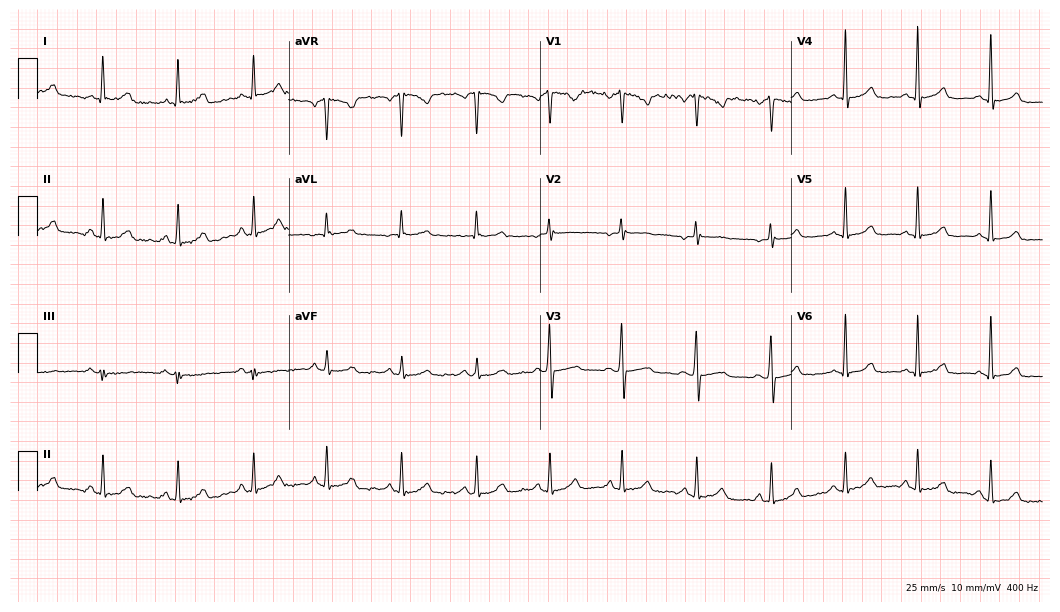
ECG — a 40-year-old female patient. Labelled as a normal ECG.